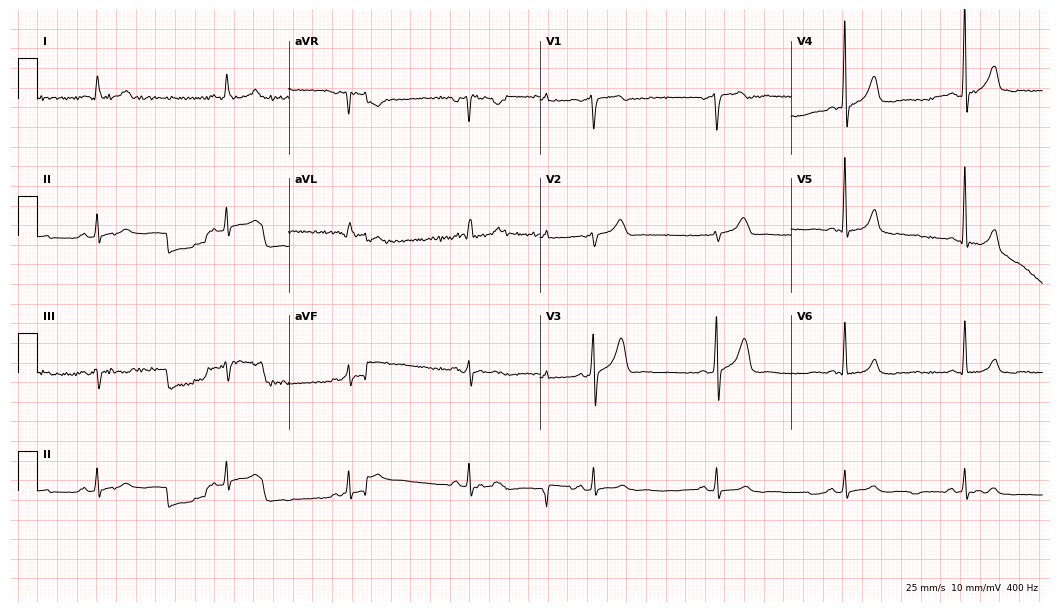
Standard 12-lead ECG recorded from a man, 64 years old (10.2-second recording at 400 Hz). None of these six findings is recorded: first-degree AV block, right bundle branch block, left bundle branch block, sinus bradycardia, atrial fibrillation, sinus tachycardia. Only these six findings were labelled.